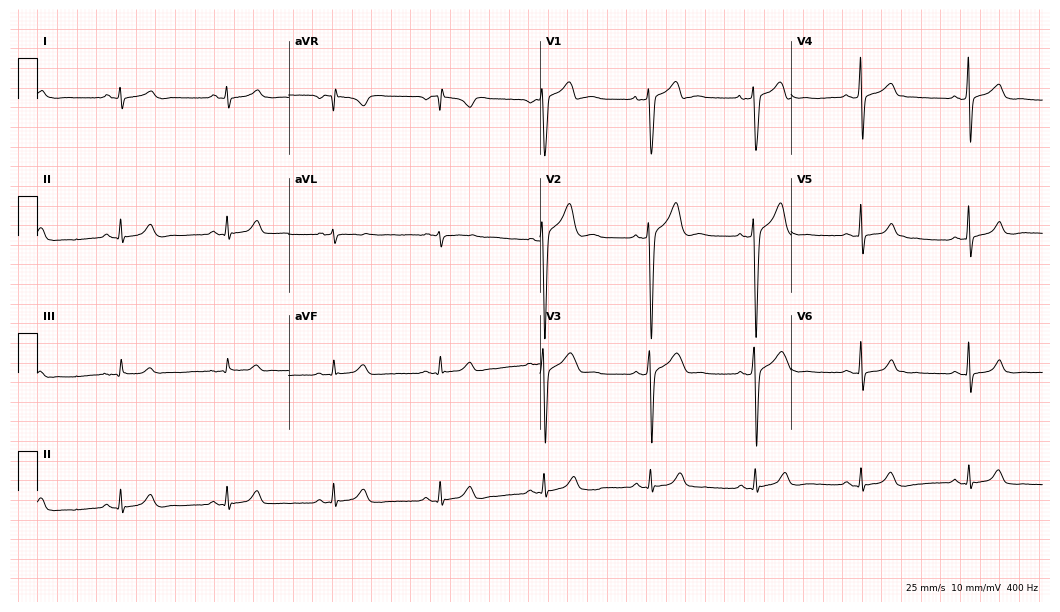
Standard 12-lead ECG recorded from a man, 34 years old. Read as a normal ECG.